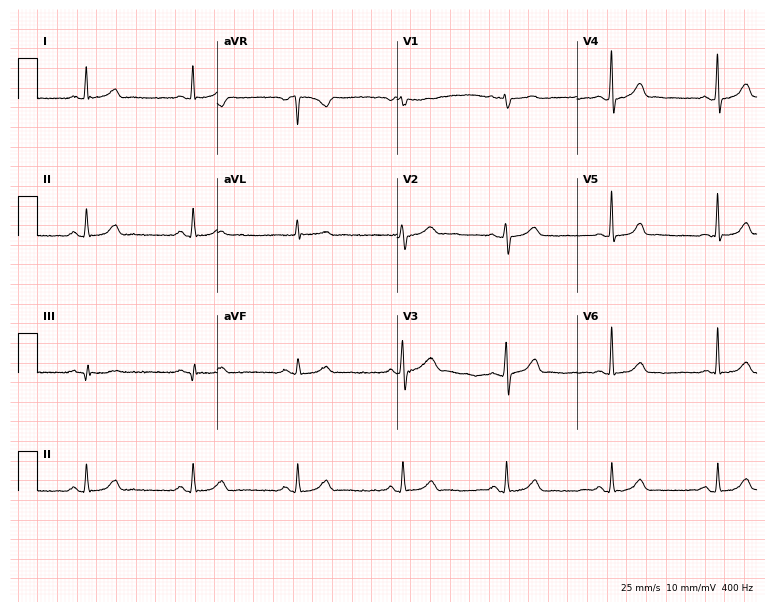
Electrocardiogram, a 60-year-old male patient. Overall reading on record: normal ECG.